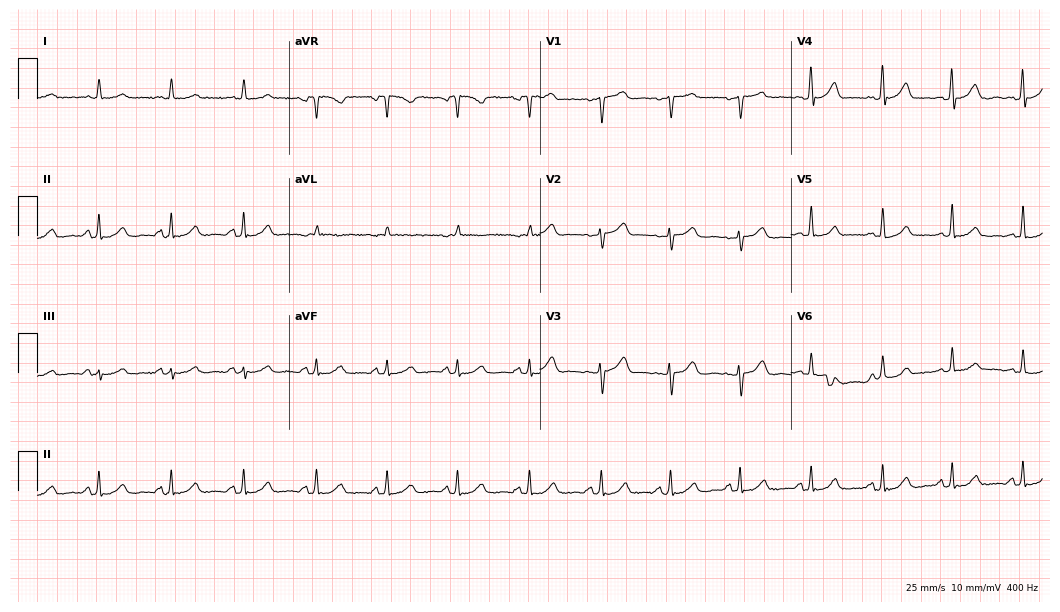
Resting 12-lead electrocardiogram (10.2-second recording at 400 Hz). Patient: a 60-year-old woman. Read as a normal ECG.